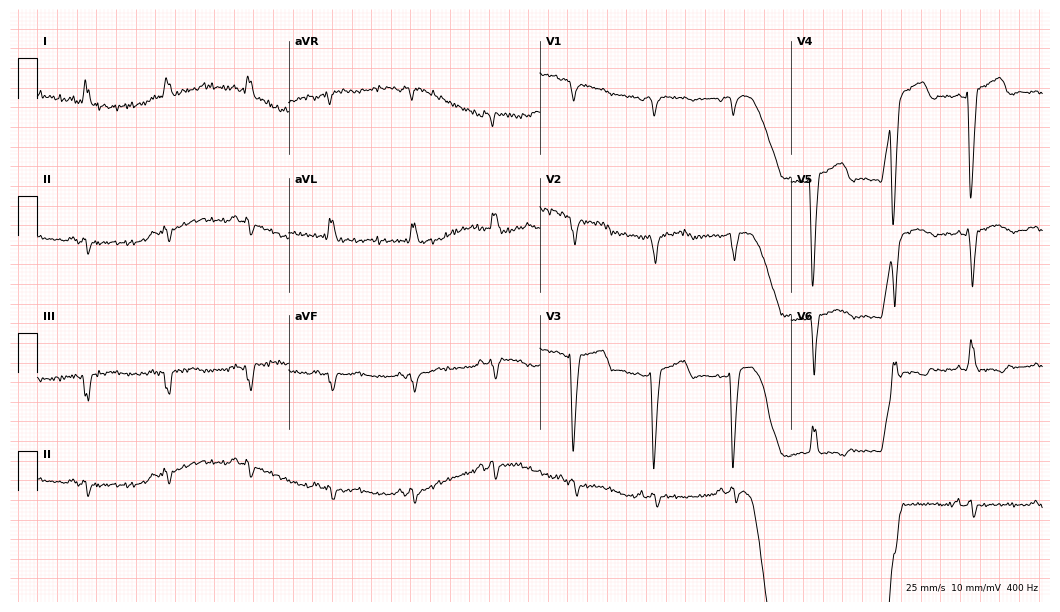
12-lead ECG (10.2-second recording at 400 Hz) from a 59-year-old woman. Findings include left bundle branch block.